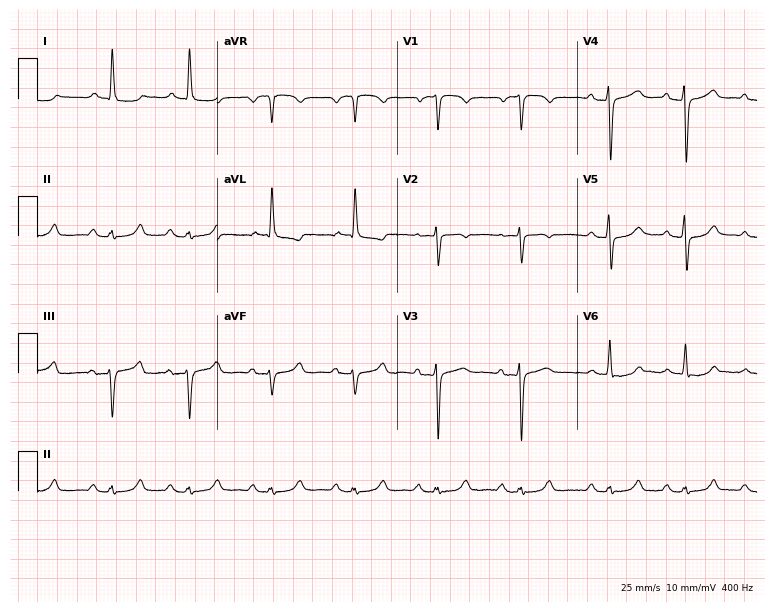
Resting 12-lead electrocardiogram (7.3-second recording at 400 Hz). Patient: a 79-year-old woman. None of these six findings is recorded: first-degree AV block, right bundle branch block, left bundle branch block, sinus bradycardia, atrial fibrillation, sinus tachycardia. Other findings, if any, are not listed.